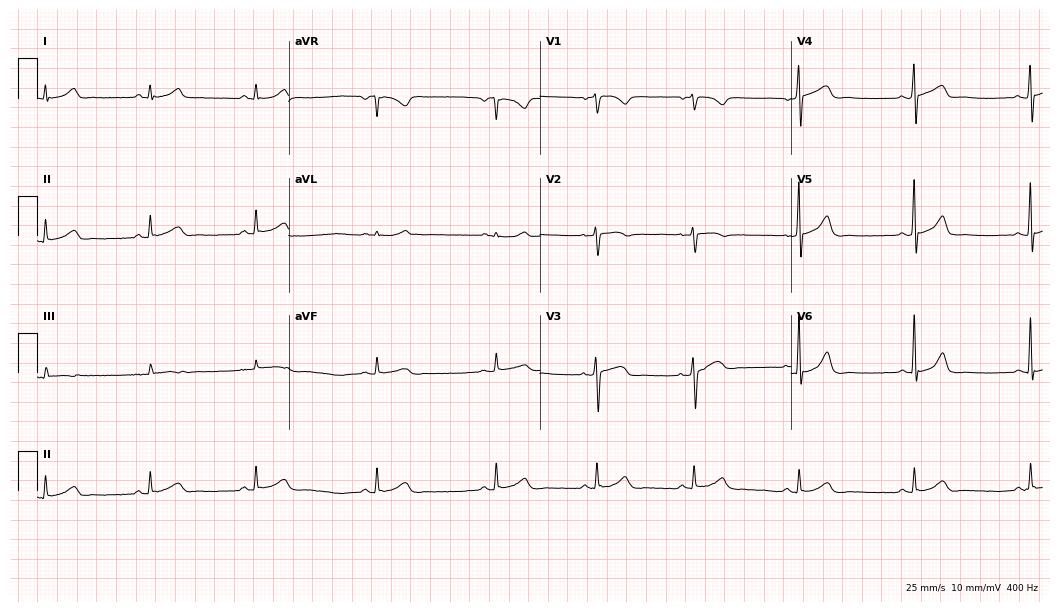
ECG (10.2-second recording at 400 Hz) — a female, 47 years old. Labelled as a normal ECG.